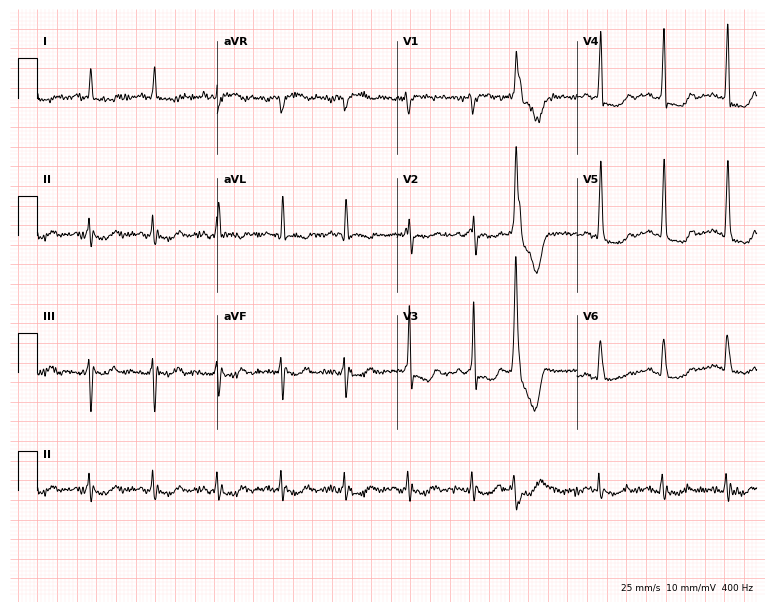
ECG — a 74-year-old woman. Screened for six findings — first-degree AV block, right bundle branch block, left bundle branch block, sinus bradycardia, atrial fibrillation, sinus tachycardia — none is recorded. Only these six findings were labelled.